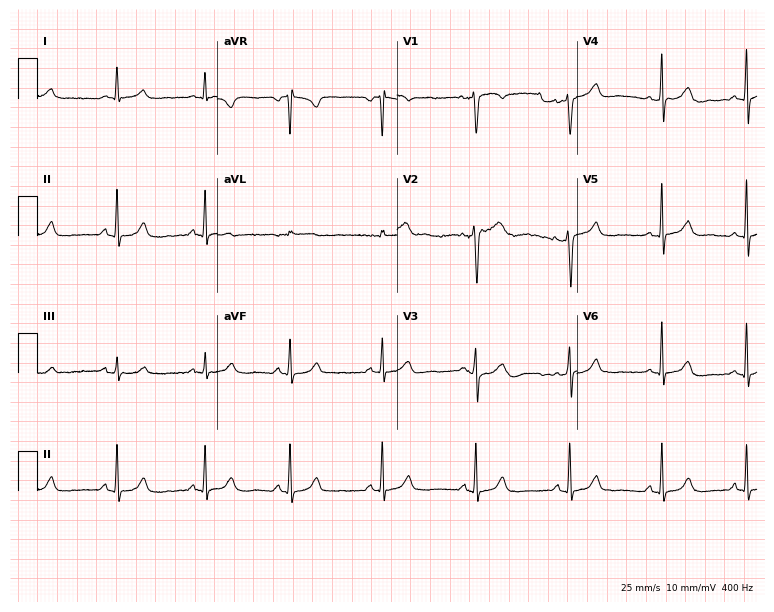
Resting 12-lead electrocardiogram (7.3-second recording at 400 Hz). Patient: a female, 36 years old. Read as a normal ECG.